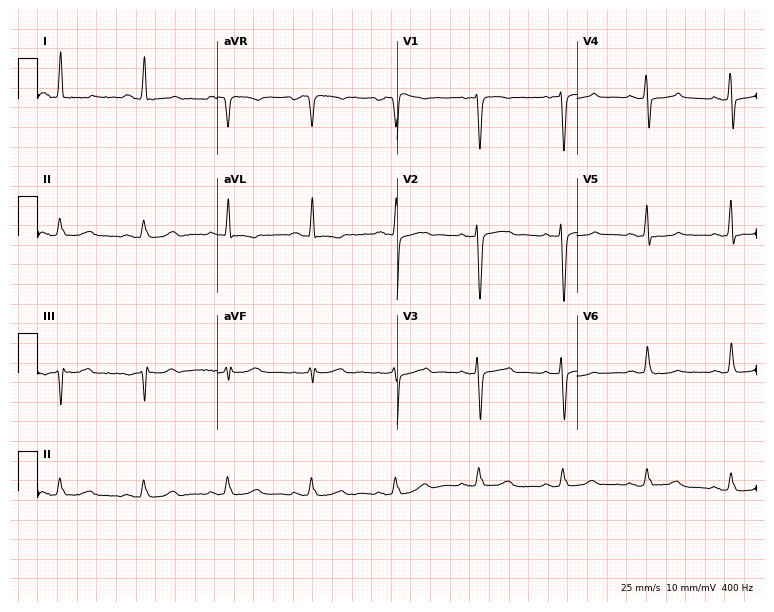
12-lead ECG from a 68-year-old female. Screened for six findings — first-degree AV block, right bundle branch block, left bundle branch block, sinus bradycardia, atrial fibrillation, sinus tachycardia — none is recorded. Only these six findings were labelled.